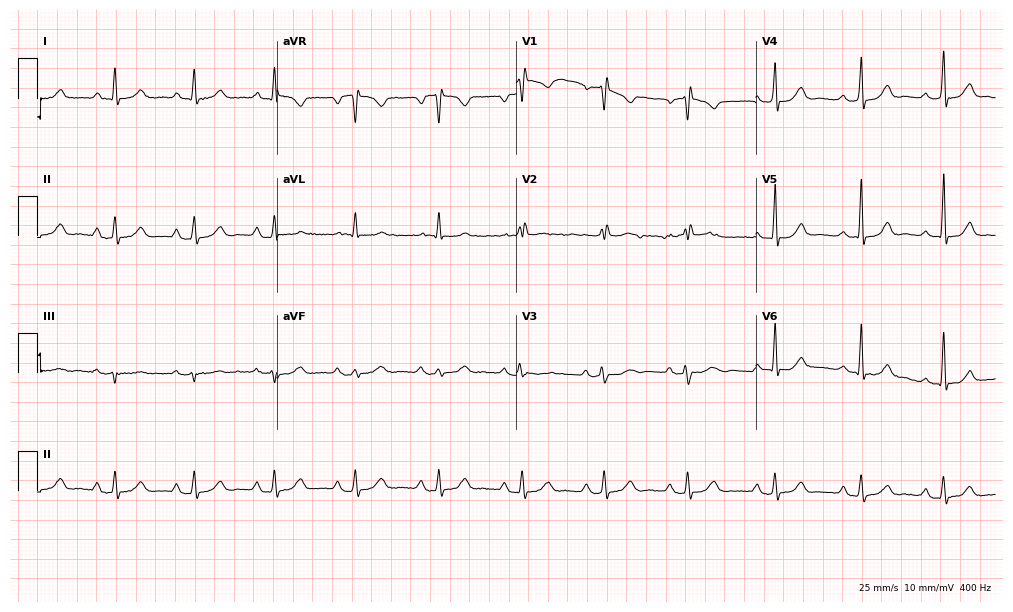
Electrocardiogram (9.8-second recording at 400 Hz), a 62-year-old woman. Of the six screened findings (first-degree AV block, right bundle branch block, left bundle branch block, sinus bradycardia, atrial fibrillation, sinus tachycardia), none is recorded. Other findings, if any, are not listed.